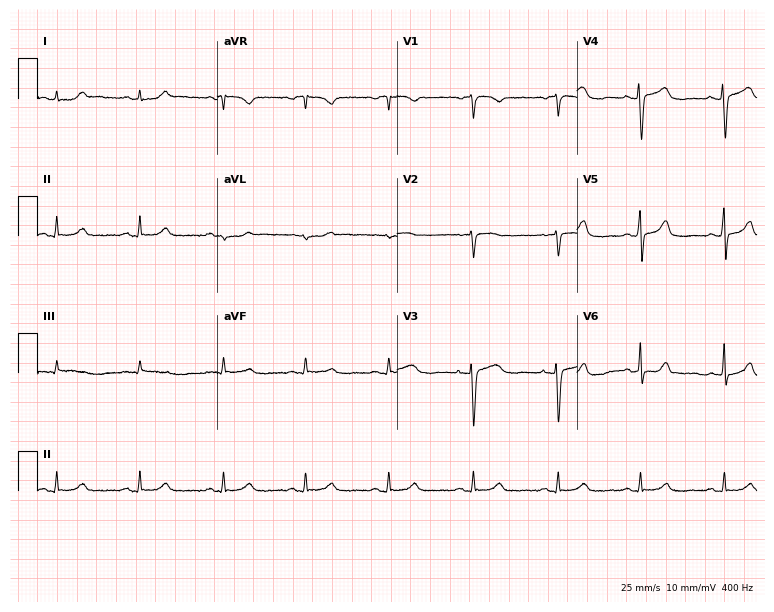
12-lead ECG (7.3-second recording at 400 Hz) from a 46-year-old woman. Labelled as a normal ECG.